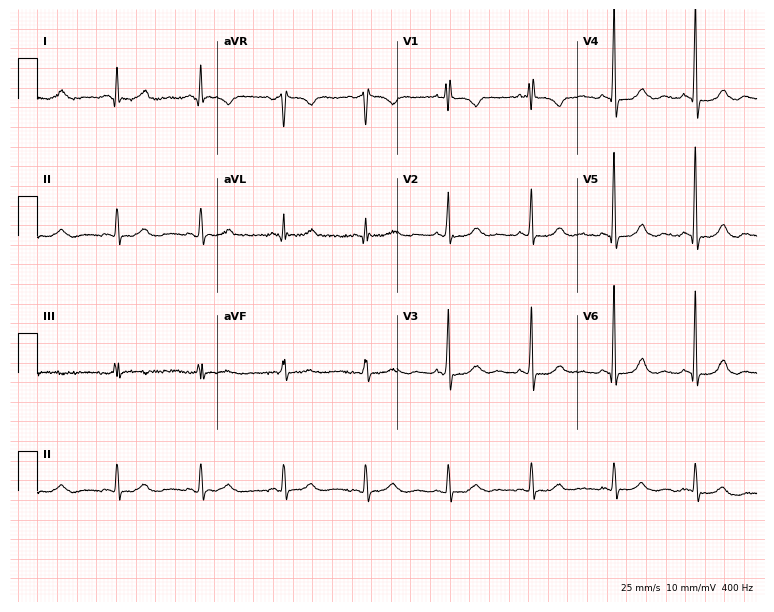
Electrocardiogram (7.3-second recording at 400 Hz), a woman, 61 years old. Overall reading on record: normal ECG.